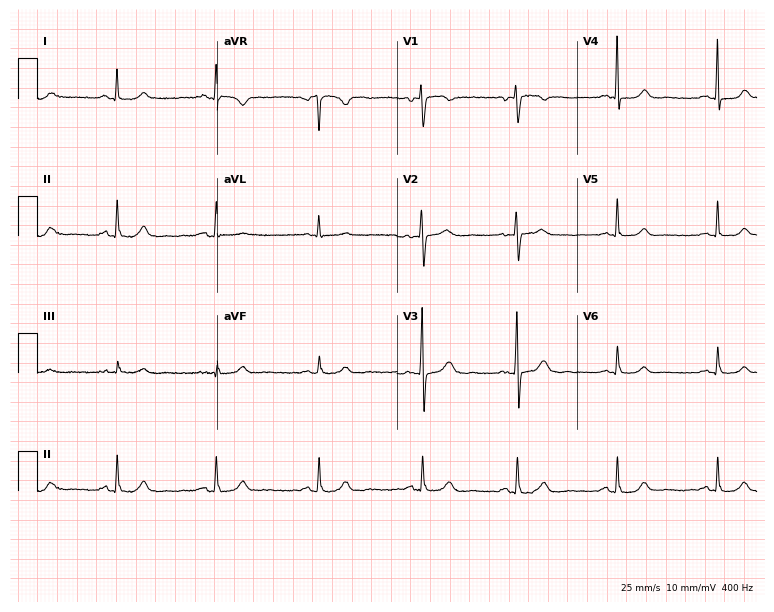
Electrocardiogram, a woman, 62 years old. Of the six screened findings (first-degree AV block, right bundle branch block (RBBB), left bundle branch block (LBBB), sinus bradycardia, atrial fibrillation (AF), sinus tachycardia), none is recorded.